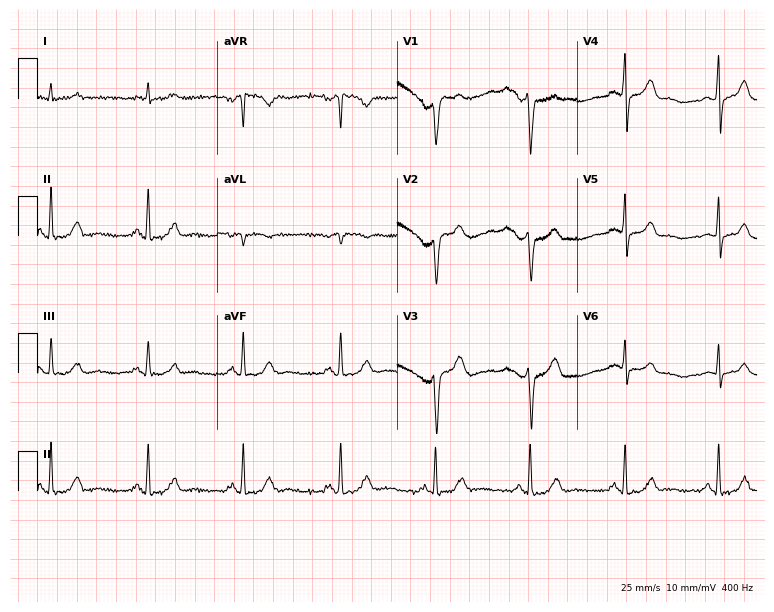
12-lead ECG from a 58-year-old male patient (7.3-second recording at 400 Hz). Recorded interpretation: within normal limits.